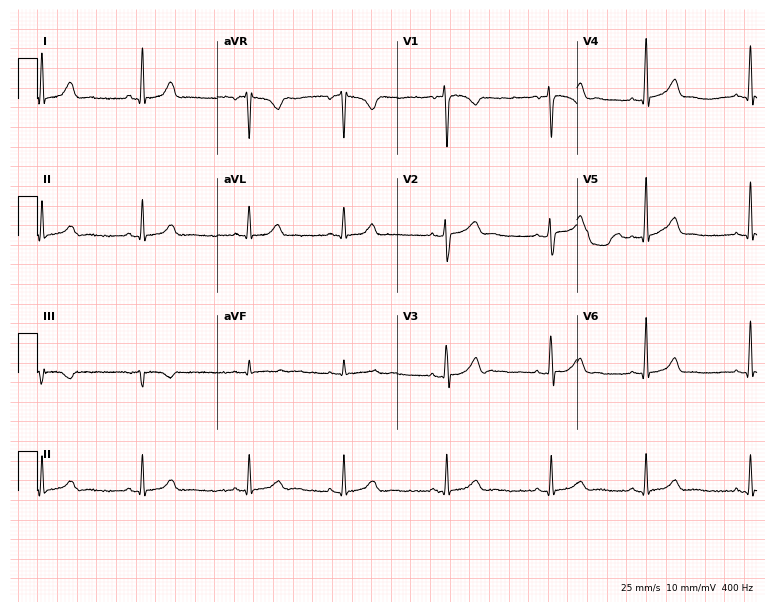
ECG — a female patient, 28 years old. Labelled as a normal ECG.